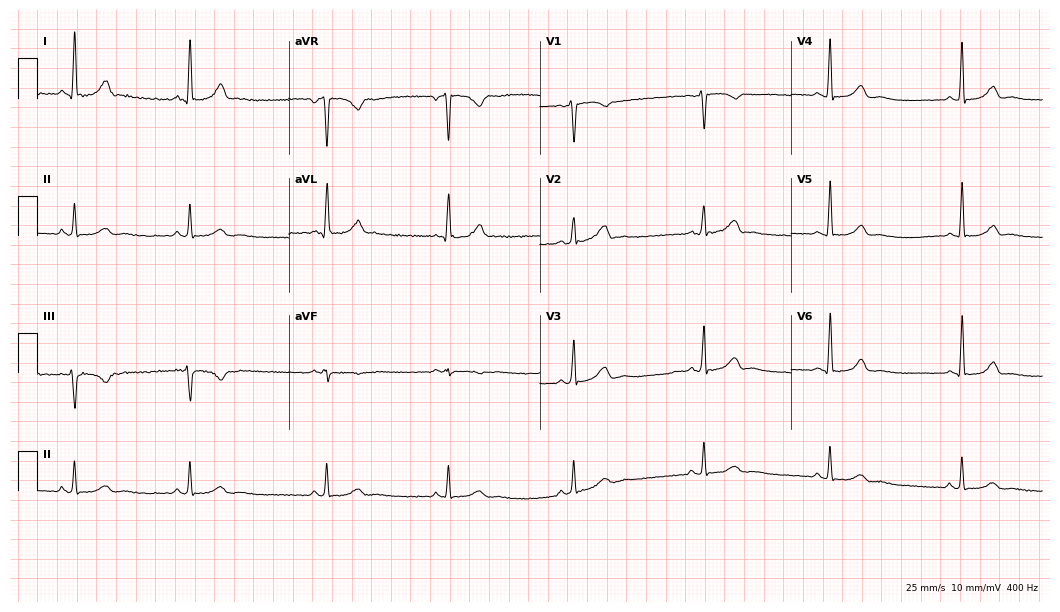
Resting 12-lead electrocardiogram (10.2-second recording at 400 Hz). Patient: a 40-year-old woman. Read as a normal ECG.